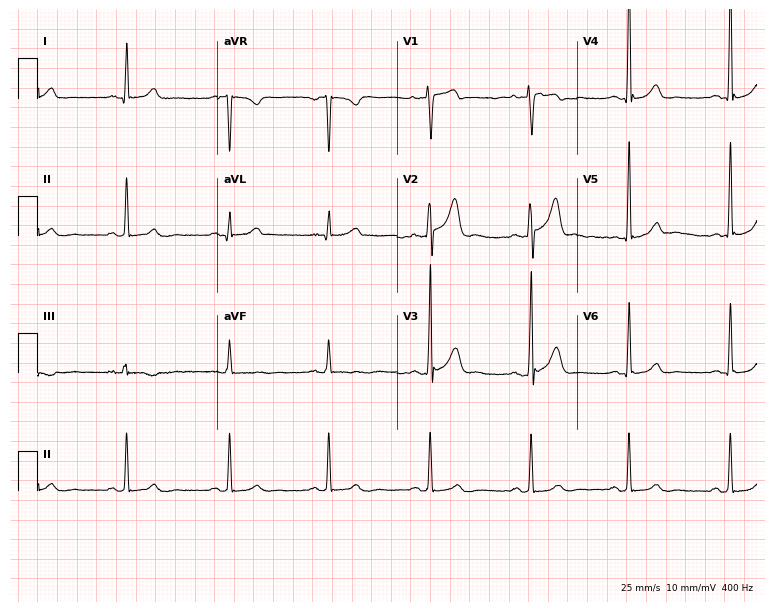
Resting 12-lead electrocardiogram. Patient: a 37-year-old male. None of these six findings is recorded: first-degree AV block, right bundle branch block (RBBB), left bundle branch block (LBBB), sinus bradycardia, atrial fibrillation (AF), sinus tachycardia. Other findings, if any, are not listed.